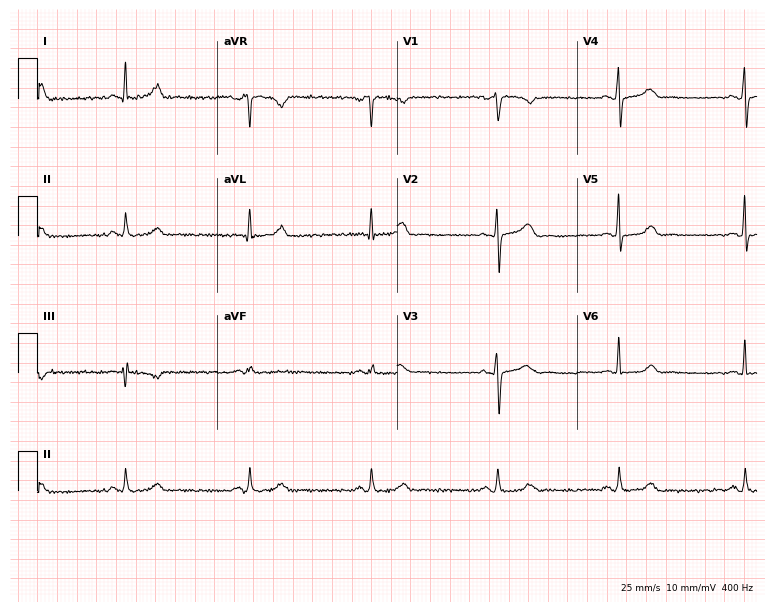
12-lead ECG from a female patient, 43 years old (7.3-second recording at 400 Hz). Shows sinus bradycardia (a sinus rate of 50 beats per minute or less).